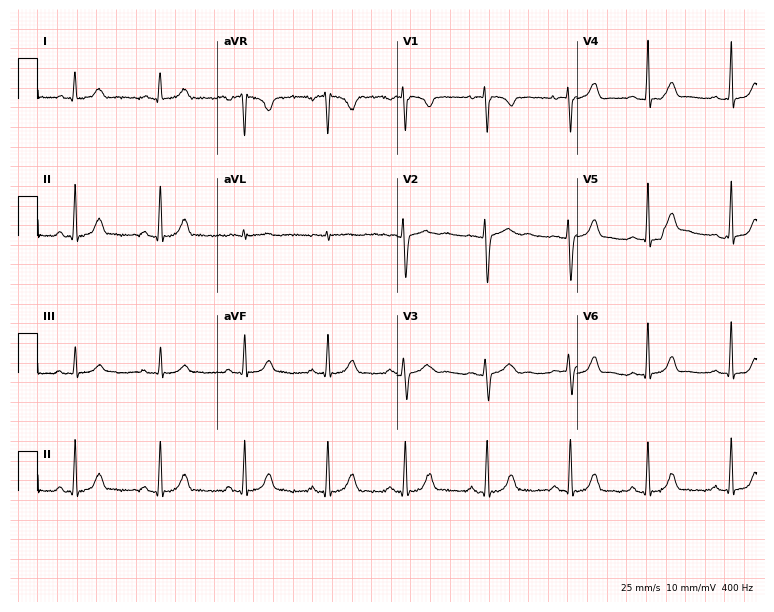
12-lead ECG from a female patient, 20 years old. Recorded interpretation: within normal limits.